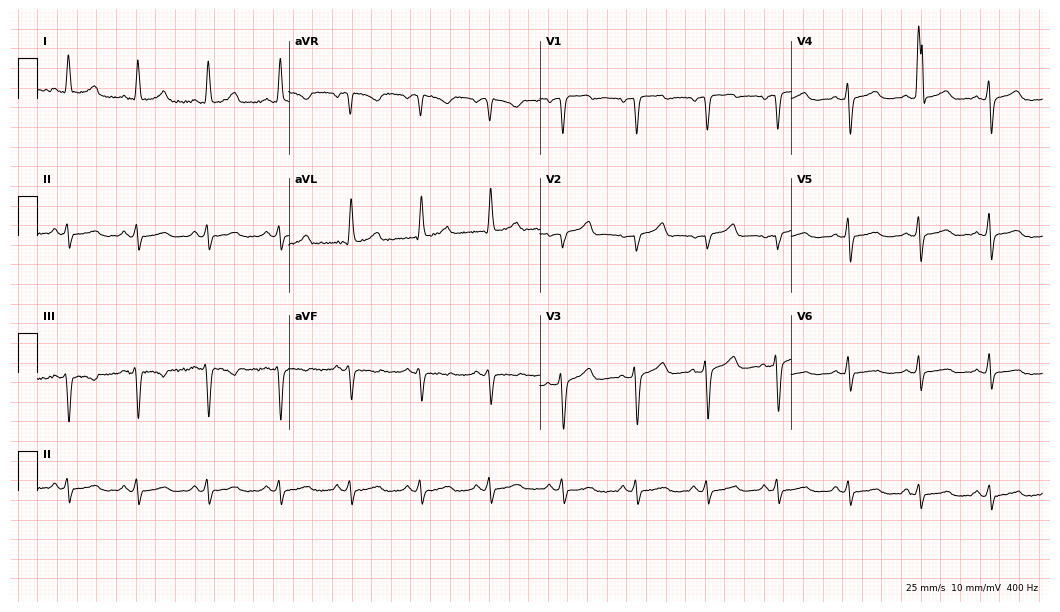
12-lead ECG (10.2-second recording at 400 Hz) from a female, 51 years old. Screened for six findings — first-degree AV block, right bundle branch block, left bundle branch block, sinus bradycardia, atrial fibrillation, sinus tachycardia — none is recorded. Only these six findings were labelled.